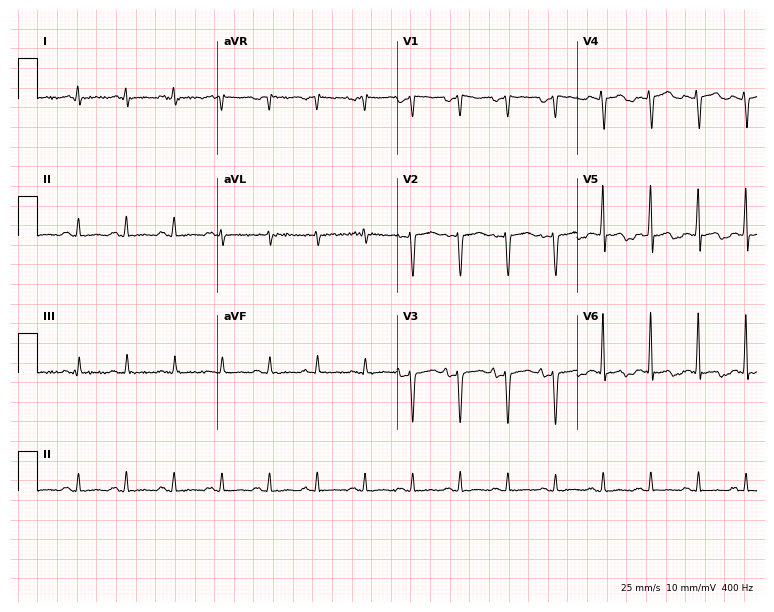
12-lead ECG from a 31-year-old woman. Findings include sinus tachycardia (a sinus rate of 100 beats per minute or more).